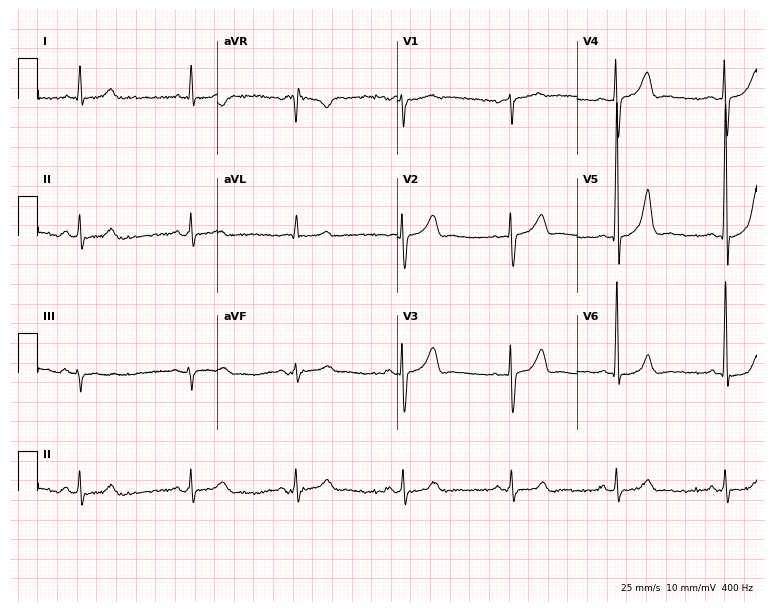
ECG — a male, 50 years old. Labelled as a normal ECG.